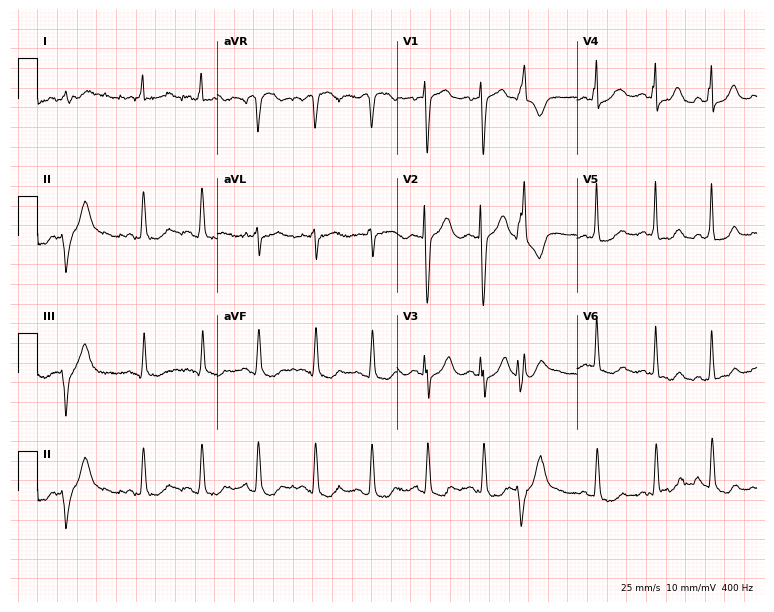
Resting 12-lead electrocardiogram (7.3-second recording at 400 Hz). Patient: a female, 82 years old. None of these six findings is recorded: first-degree AV block, right bundle branch block, left bundle branch block, sinus bradycardia, atrial fibrillation, sinus tachycardia.